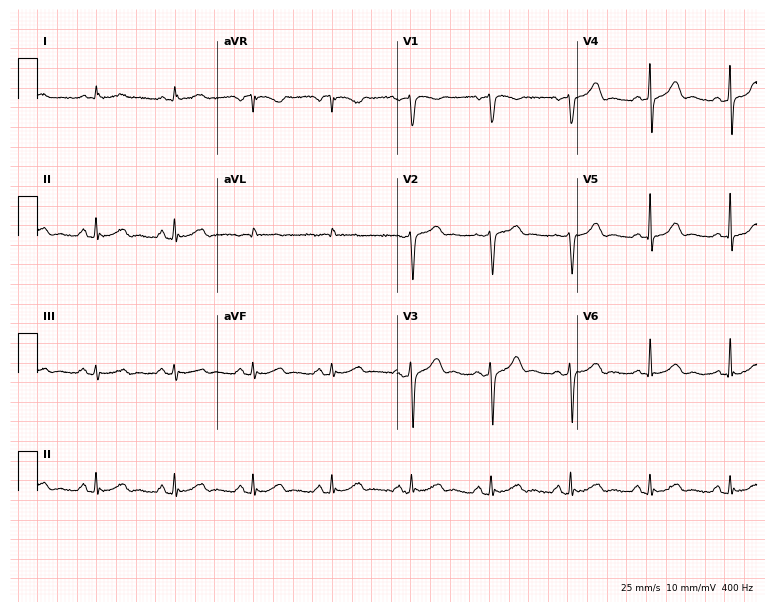
12-lead ECG from an 80-year-old man. Recorded interpretation: within normal limits.